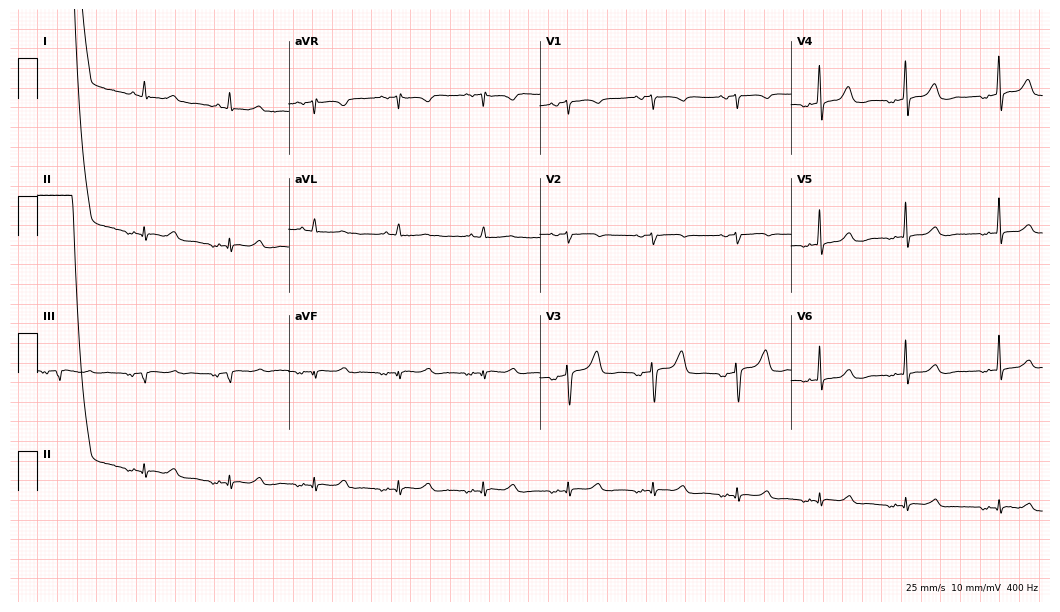
Resting 12-lead electrocardiogram (10.2-second recording at 400 Hz). Patient: a 63-year-old man. None of these six findings is recorded: first-degree AV block, right bundle branch block, left bundle branch block, sinus bradycardia, atrial fibrillation, sinus tachycardia. Other findings, if any, are not listed.